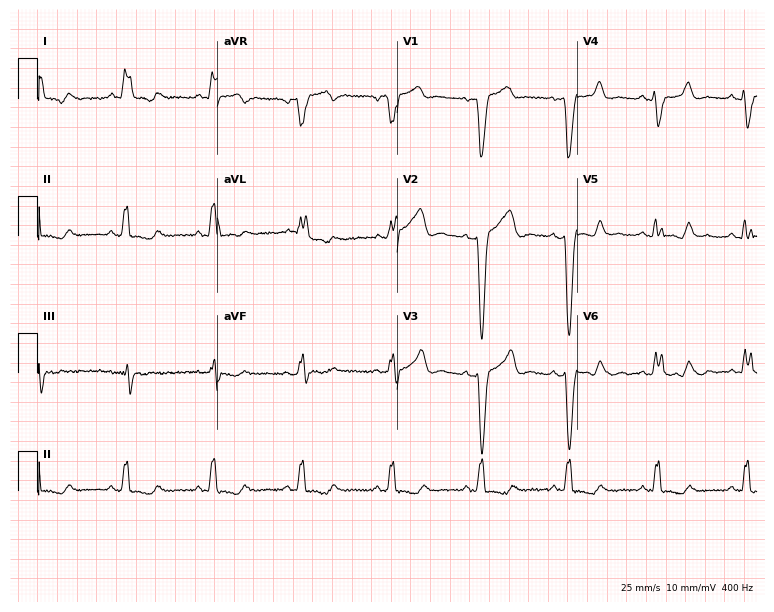
Standard 12-lead ECG recorded from a woman, 59 years old (7.3-second recording at 400 Hz). The tracing shows left bundle branch block.